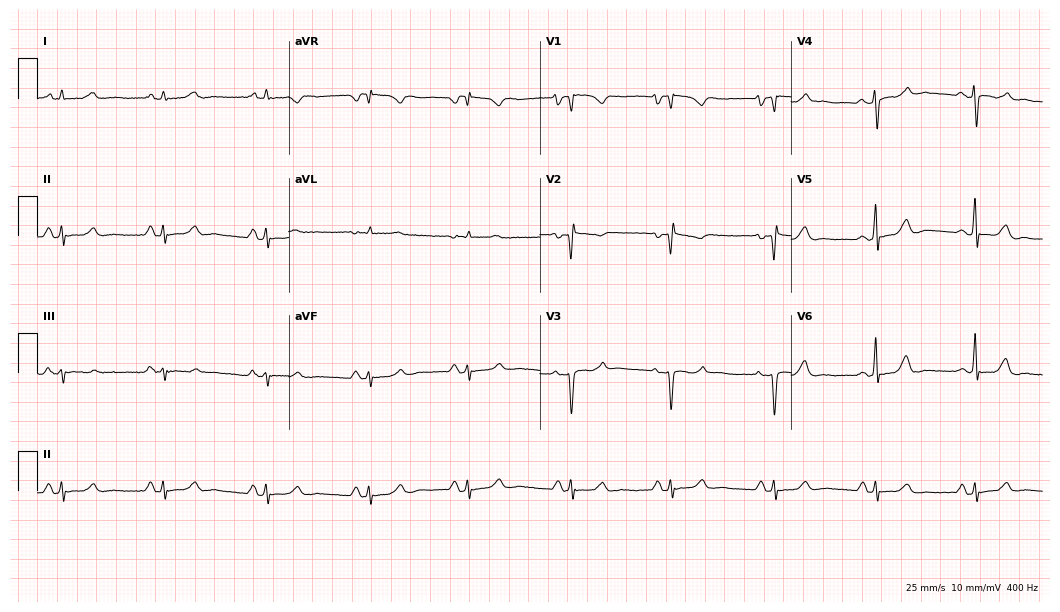
12-lead ECG from a female patient, 42 years old. No first-degree AV block, right bundle branch block (RBBB), left bundle branch block (LBBB), sinus bradycardia, atrial fibrillation (AF) or sinus tachycardia recorded for this tracing. Findings outside these six are not listed.